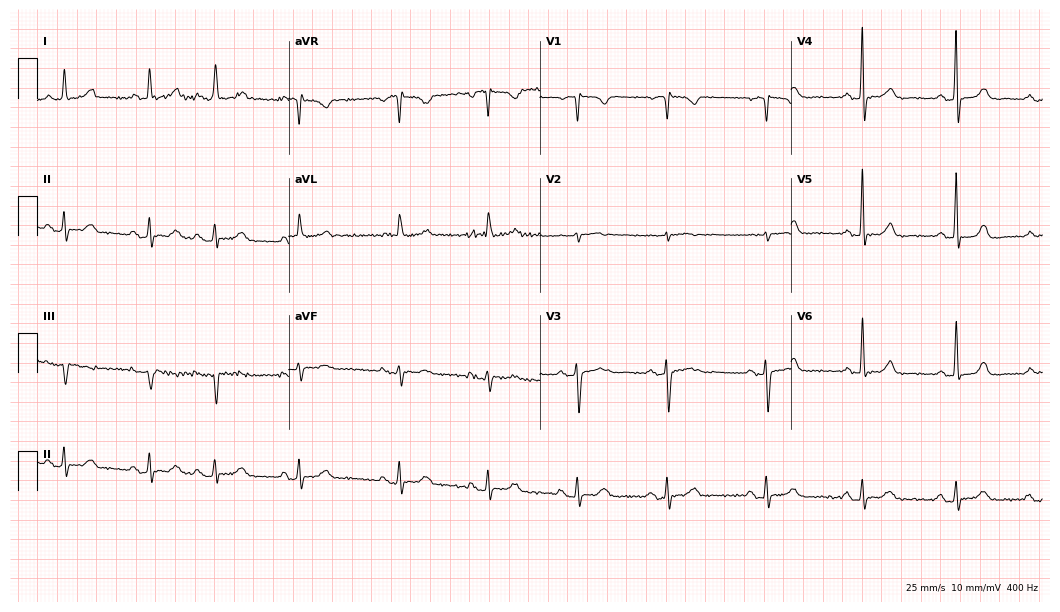
12-lead ECG from a 71-year-old woman. Screened for six findings — first-degree AV block, right bundle branch block (RBBB), left bundle branch block (LBBB), sinus bradycardia, atrial fibrillation (AF), sinus tachycardia — none is recorded.